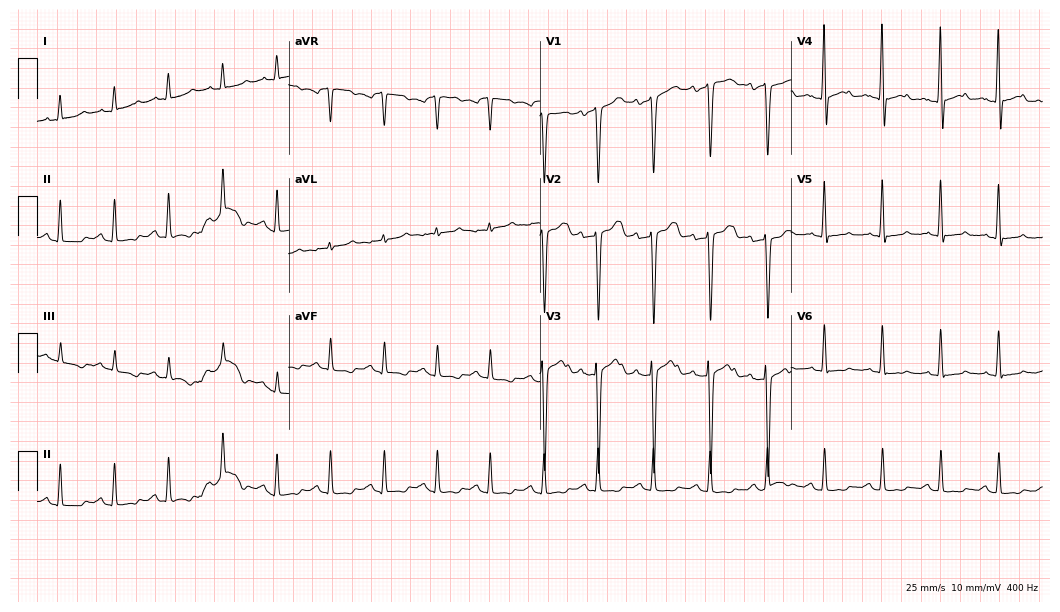
ECG (10.2-second recording at 400 Hz) — a woman, 58 years old. Screened for six findings — first-degree AV block, right bundle branch block, left bundle branch block, sinus bradycardia, atrial fibrillation, sinus tachycardia — none is recorded. Other findings, if any, are not listed.